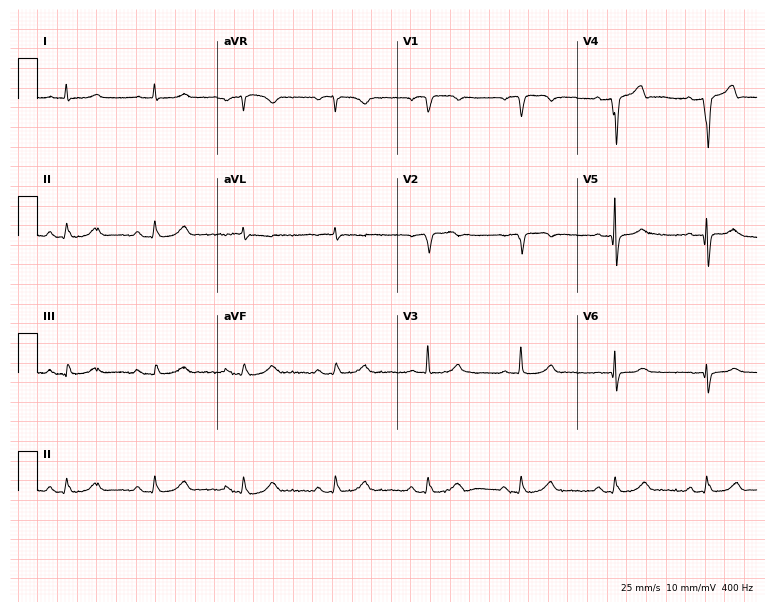
Resting 12-lead electrocardiogram (7.3-second recording at 400 Hz). Patient: a man, 79 years old. None of these six findings is recorded: first-degree AV block, right bundle branch block, left bundle branch block, sinus bradycardia, atrial fibrillation, sinus tachycardia. Only these six findings were labelled.